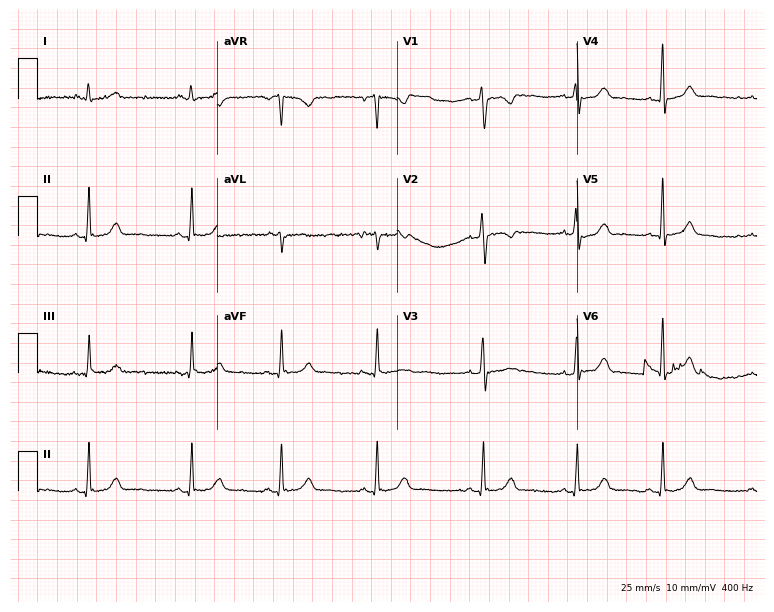
12-lead ECG from a 21-year-old woman. No first-degree AV block, right bundle branch block, left bundle branch block, sinus bradycardia, atrial fibrillation or sinus tachycardia recorded for this tracing. Other findings, if any, are not listed.